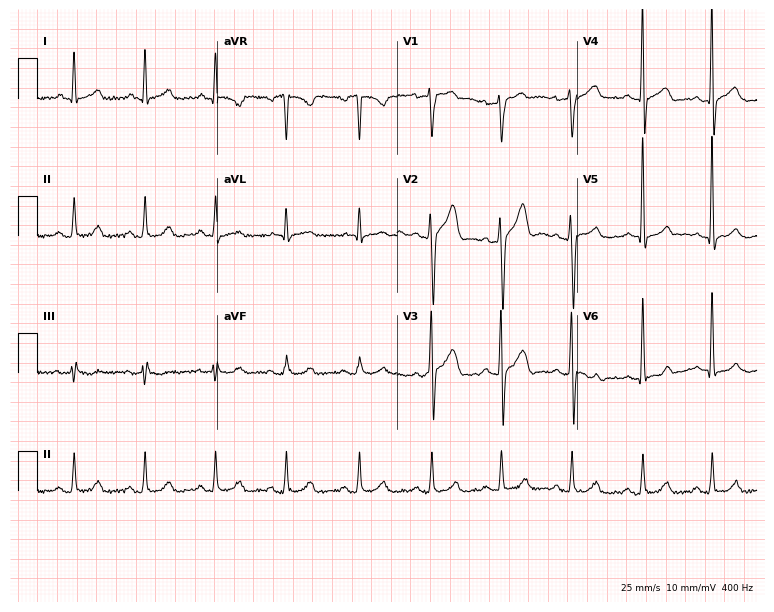
Electrocardiogram (7.3-second recording at 400 Hz), a 32-year-old male. Overall reading on record: normal ECG.